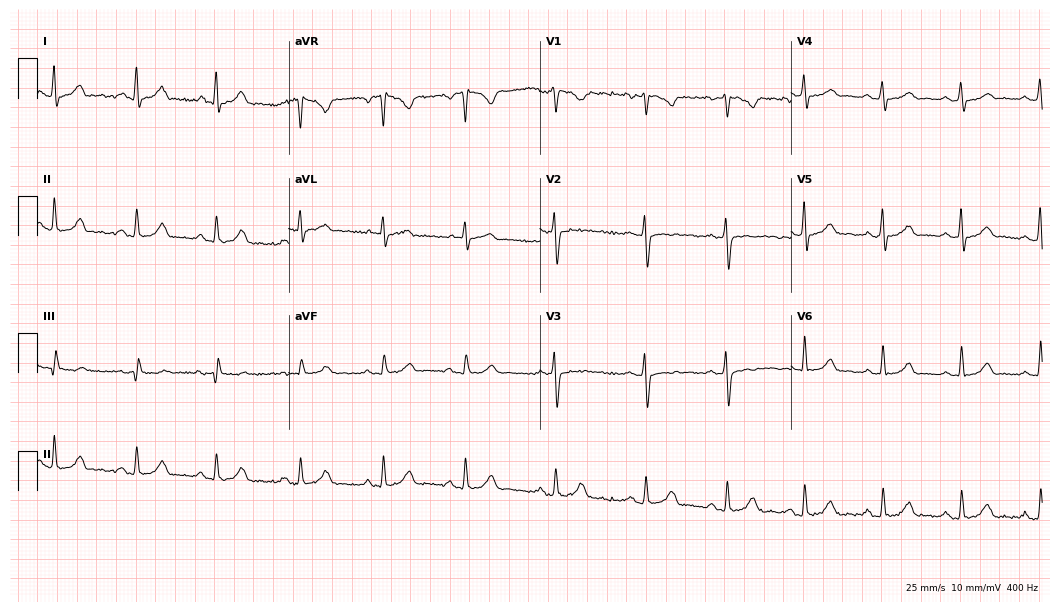
12-lead ECG (10.2-second recording at 400 Hz) from a female, 31 years old. Labelled as a normal ECG.